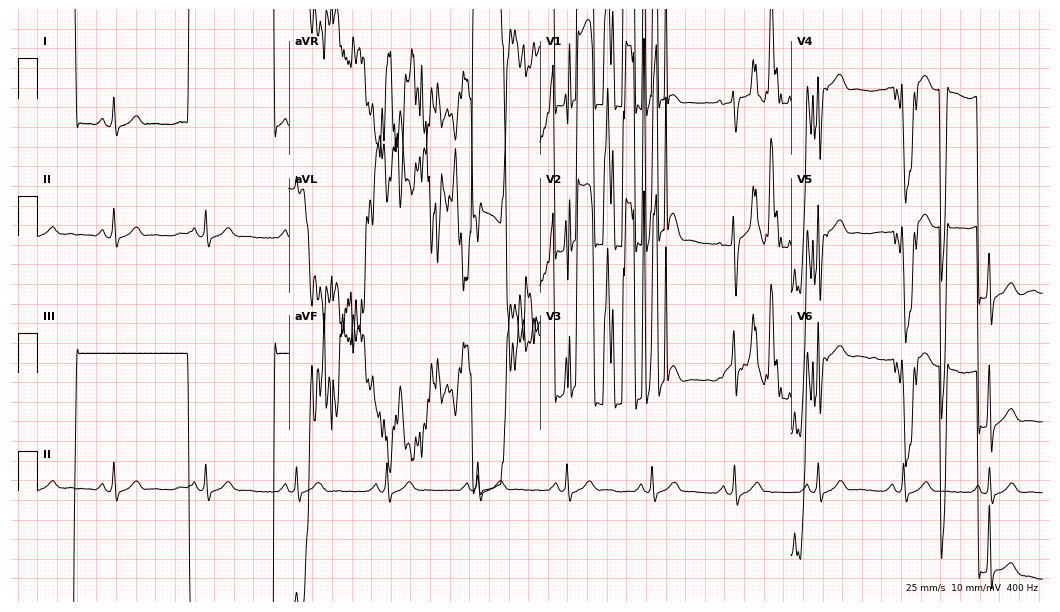
Electrocardiogram (10.2-second recording at 400 Hz), a 31-year-old male. Of the six screened findings (first-degree AV block, right bundle branch block (RBBB), left bundle branch block (LBBB), sinus bradycardia, atrial fibrillation (AF), sinus tachycardia), none is recorded.